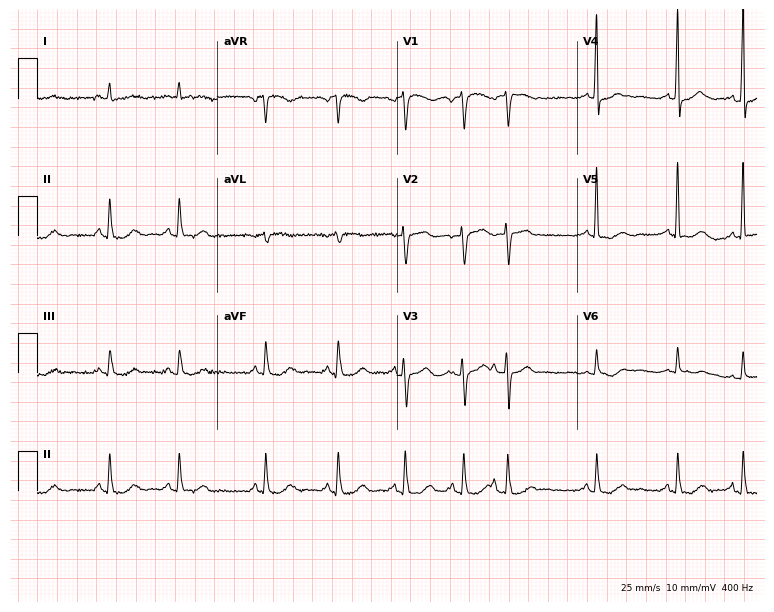
Resting 12-lead electrocardiogram (7.3-second recording at 400 Hz). Patient: an 85-year-old female. Read as a normal ECG.